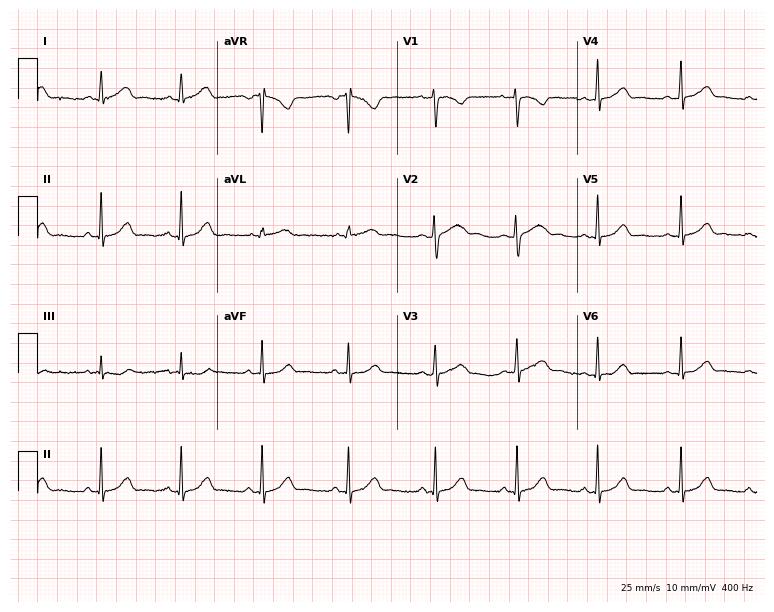
Standard 12-lead ECG recorded from a female, 24 years old. Read as a normal ECG.